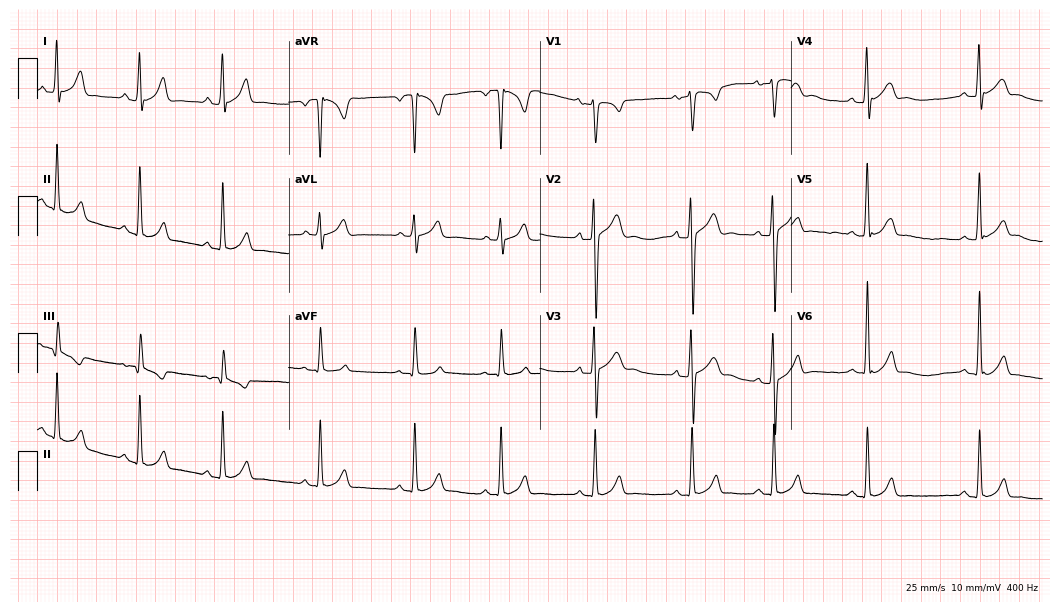
12-lead ECG from a male patient, 20 years old. Recorded interpretation: within normal limits.